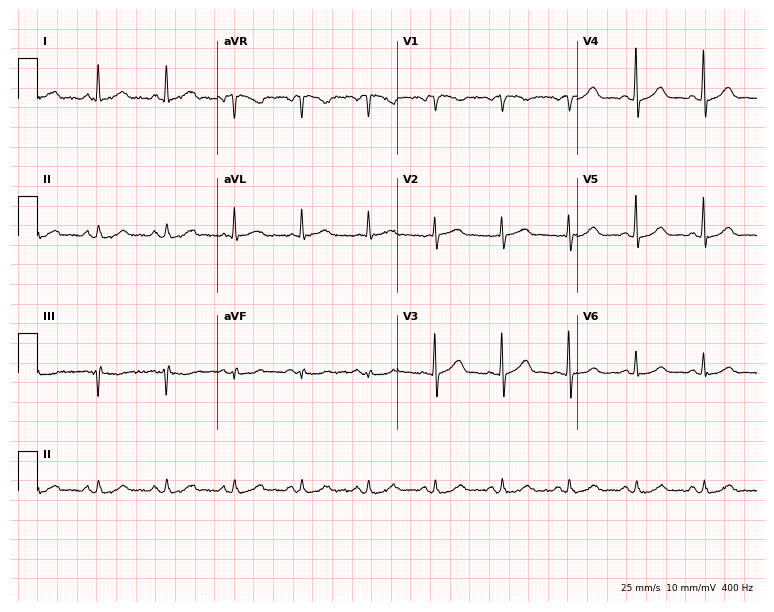
ECG (7.3-second recording at 400 Hz) — a female patient, 70 years old. Labelled as a normal ECG.